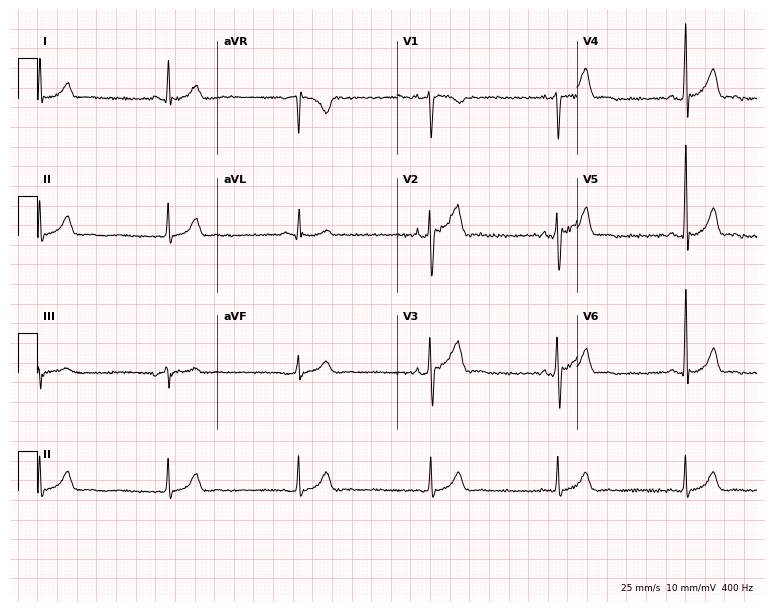
ECG — a male, 31 years old. Findings include sinus bradycardia (a sinus rate of 50 beats per minute or less).